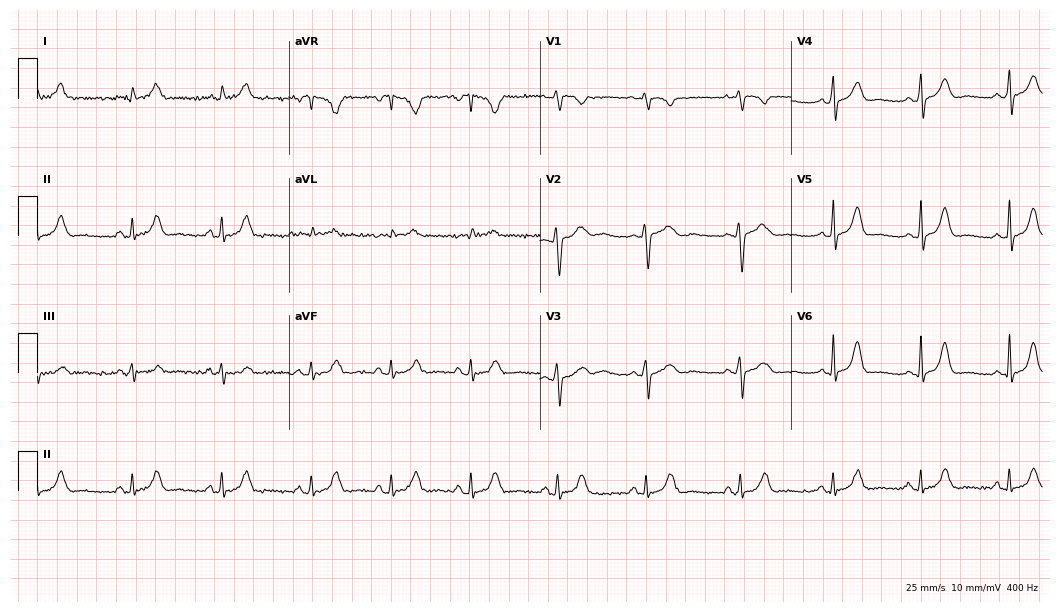
12-lead ECG (10.2-second recording at 400 Hz) from a female patient, 25 years old. Labelled as a normal ECG.